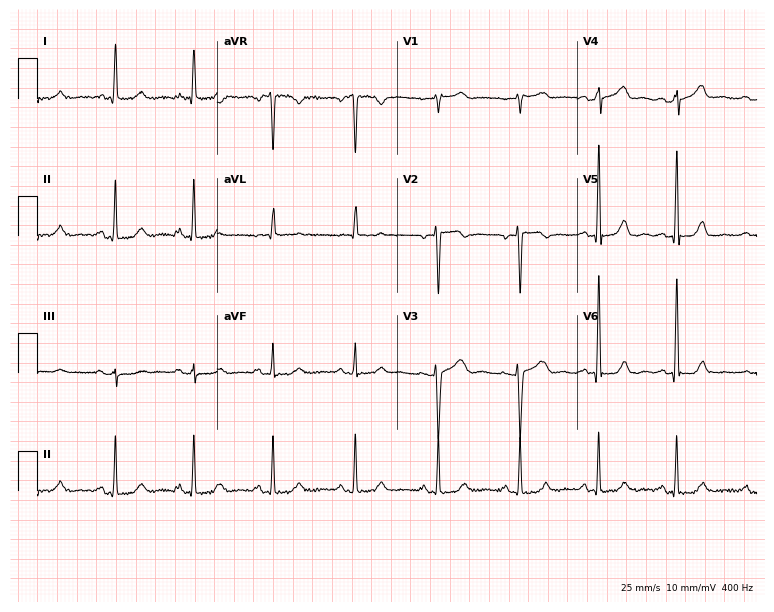
Standard 12-lead ECG recorded from a woman, 36 years old (7.3-second recording at 400 Hz). None of these six findings is recorded: first-degree AV block, right bundle branch block, left bundle branch block, sinus bradycardia, atrial fibrillation, sinus tachycardia.